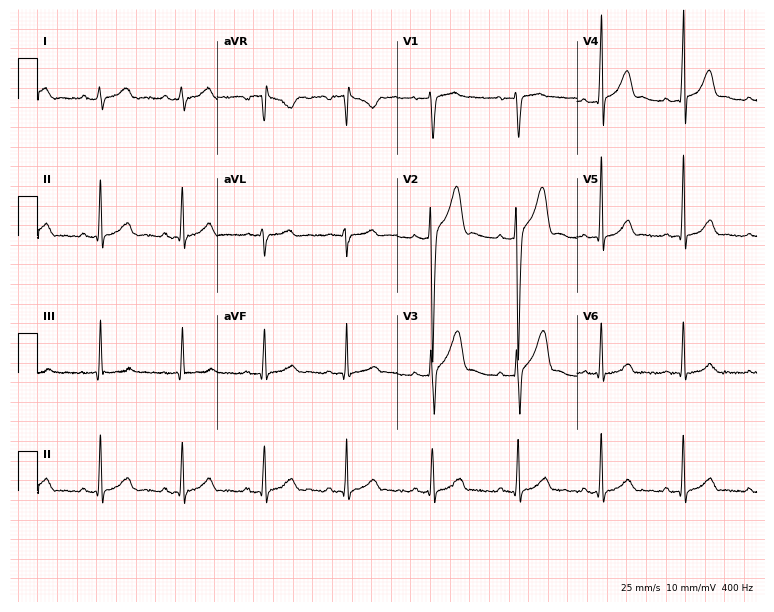
Resting 12-lead electrocardiogram. Patient: a 25-year-old male. None of these six findings is recorded: first-degree AV block, right bundle branch block, left bundle branch block, sinus bradycardia, atrial fibrillation, sinus tachycardia. Only these six findings were labelled.